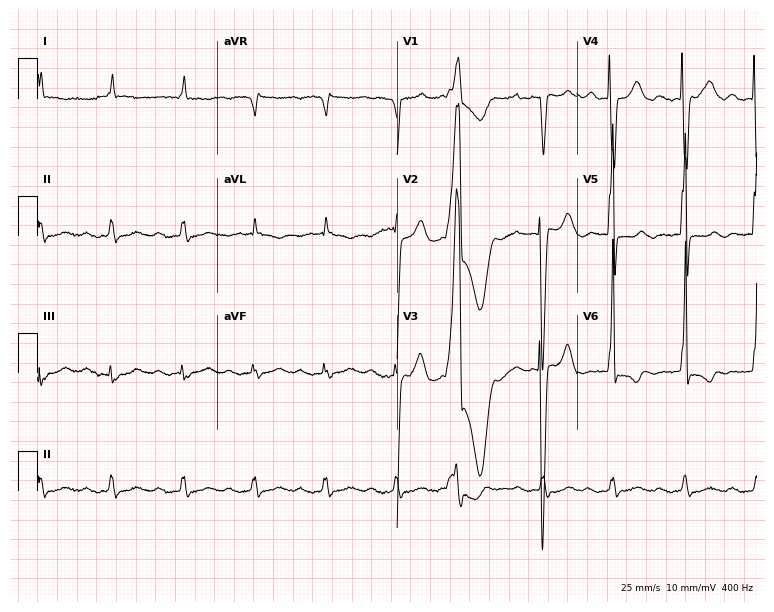
Standard 12-lead ECG recorded from an 80-year-old man. The tracing shows first-degree AV block.